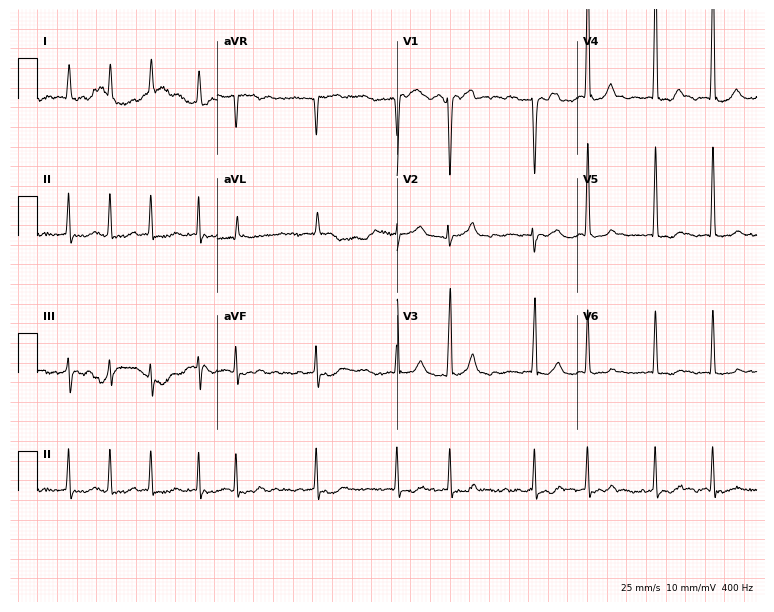
Standard 12-lead ECG recorded from an 83-year-old man. The tracing shows atrial fibrillation (AF).